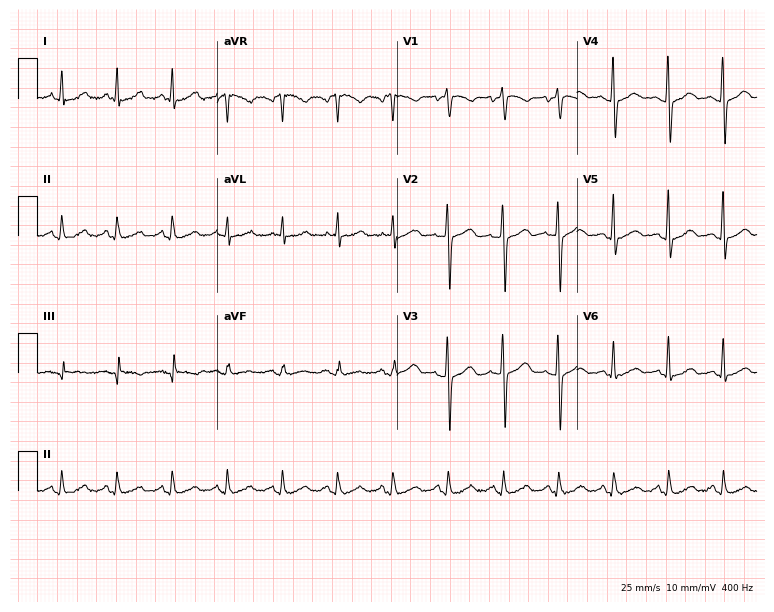
Electrocardiogram (7.3-second recording at 400 Hz), a woman, 45 years old. Of the six screened findings (first-degree AV block, right bundle branch block, left bundle branch block, sinus bradycardia, atrial fibrillation, sinus tachycardia), none is recorded.